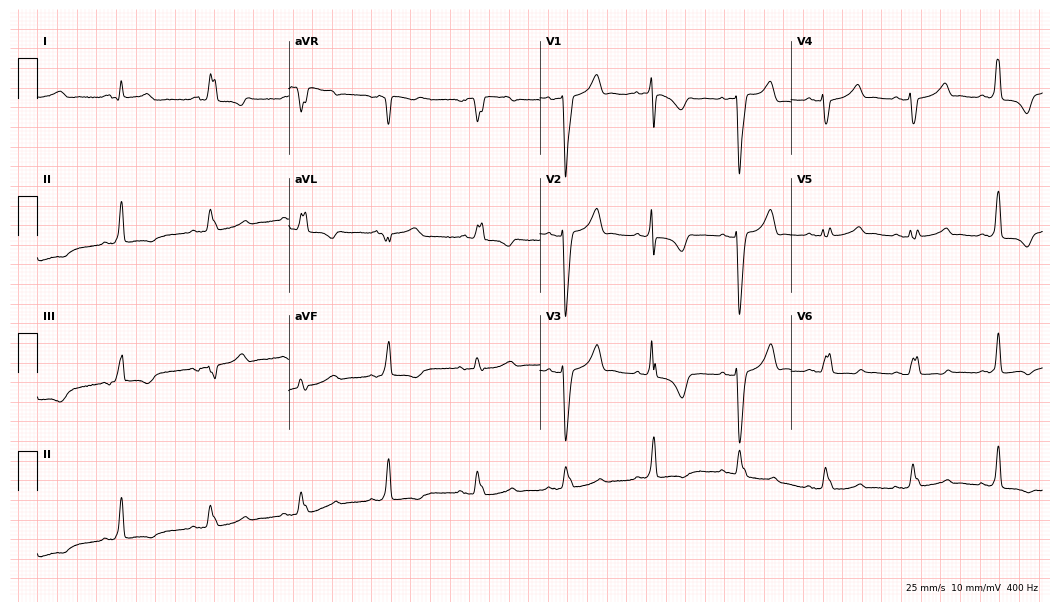
12-lead ECG (10.2-second recording at 400 Hz) from a female, 72 years old. Screened for six findings — first-degree AV block, right bundle branch block, left bundle branch block, sinus bradycardia, atrial fibrillation, sinus tachycardia — none is recorded. Findings outside these six are not listed.